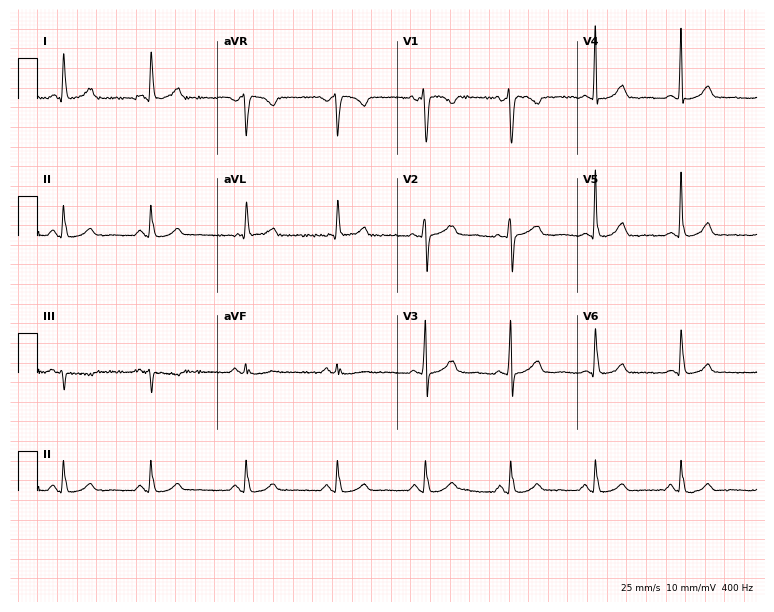
12-lead ECG (7.3-second recording at 400 Hz) from a female patient, 55 years old. Labelled as a normal ECG.